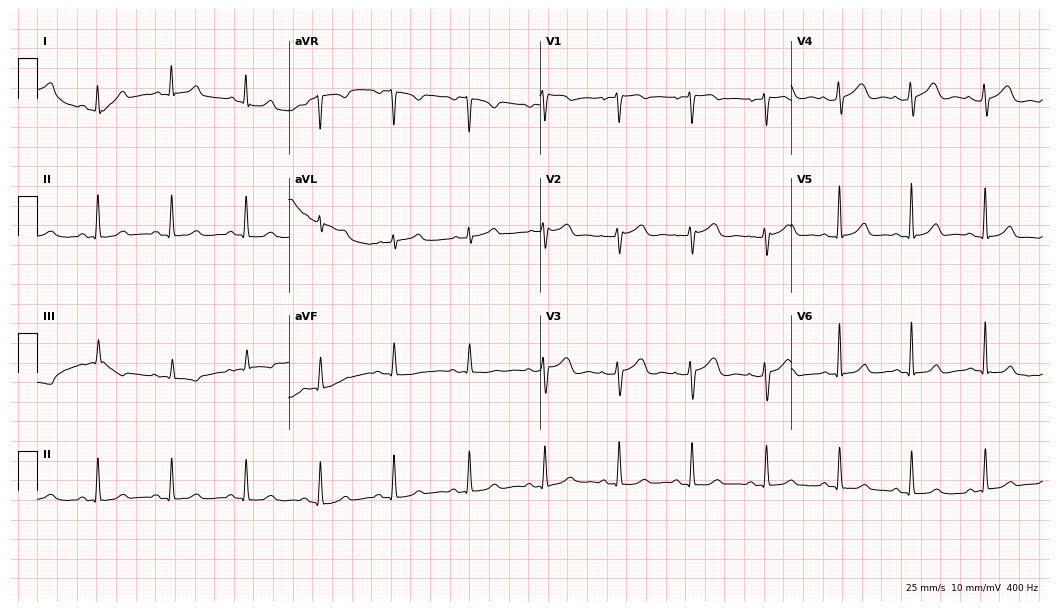
Resting 12-lead electrocardiogram. Patient: a female, 42 years old. Read as a normal ECG.